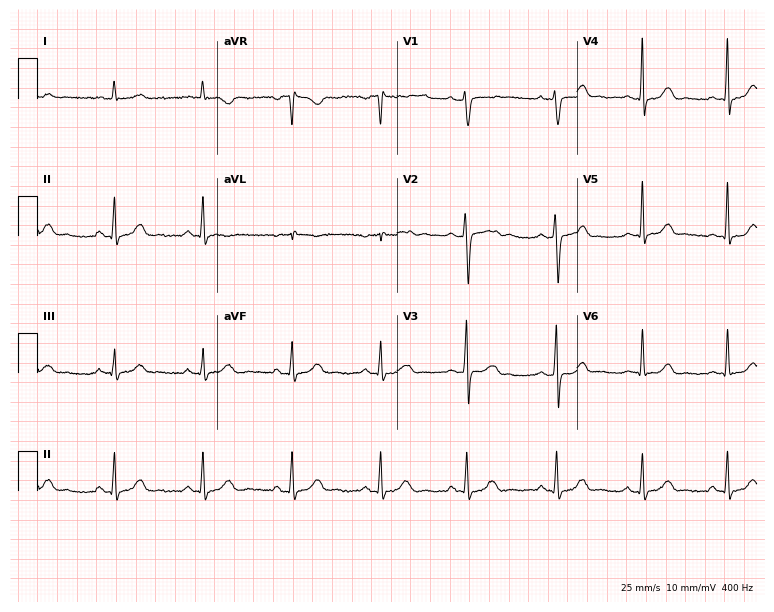
ECG — a 29-year-old female patient. Labelled as a normal ECG.